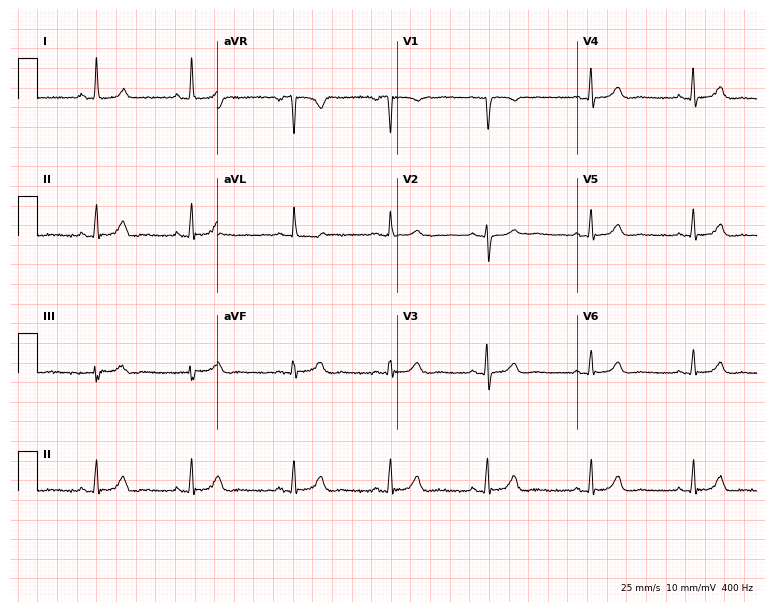
Resting 12-lead electrocardiogram (7.3-second recording at 400 Hz). Patient: a female, 61 years old. None of these six findings is recorded: first-degree AV block, right bundle branch block, left bundle branch block, sinus bradycardia, atrial fibrillation, sinus tachycardia. Findings outside these six are not listed.